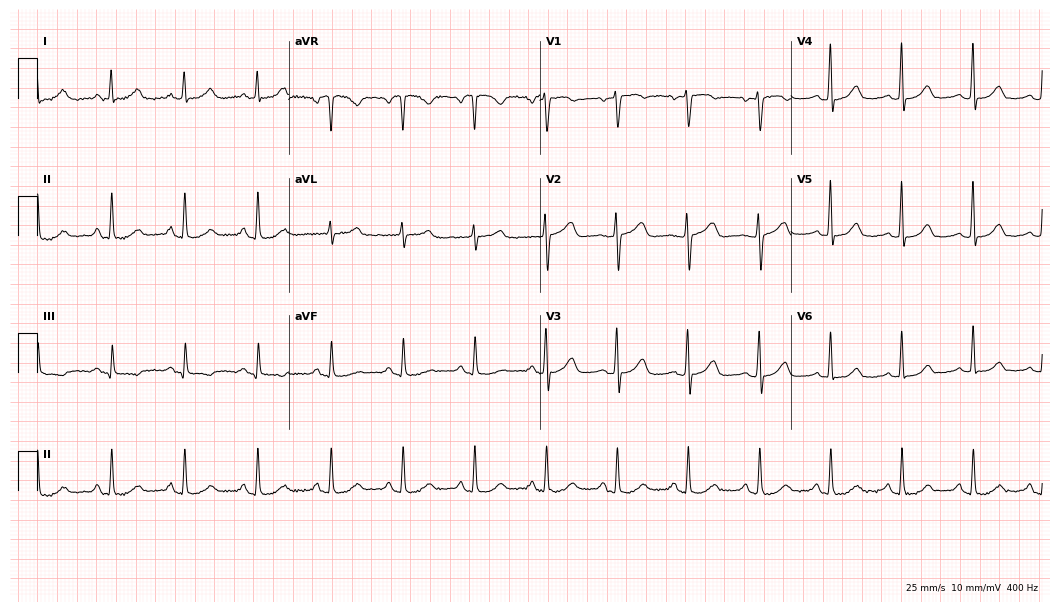
ECG — a female patient, 56 years old. Screened for six findings — first-degree AV block, right bundle branch block (RBBB), left bundle branch block (LBBB), sinus bradycardia, atrial fibrillation (AF), sinus tachycardia — none is recorded.